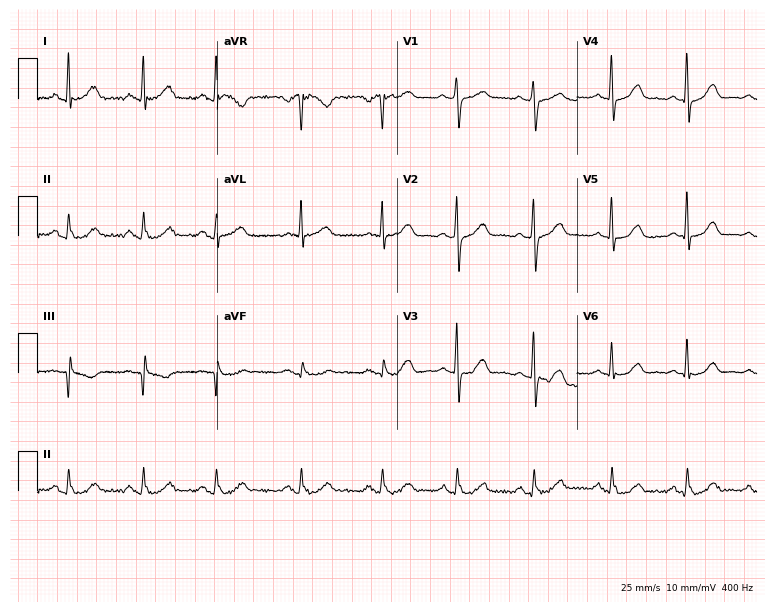
ECG (7.3-second recording at 400 Hz) — a 61-year-old female. Labelled as a normal ECG.